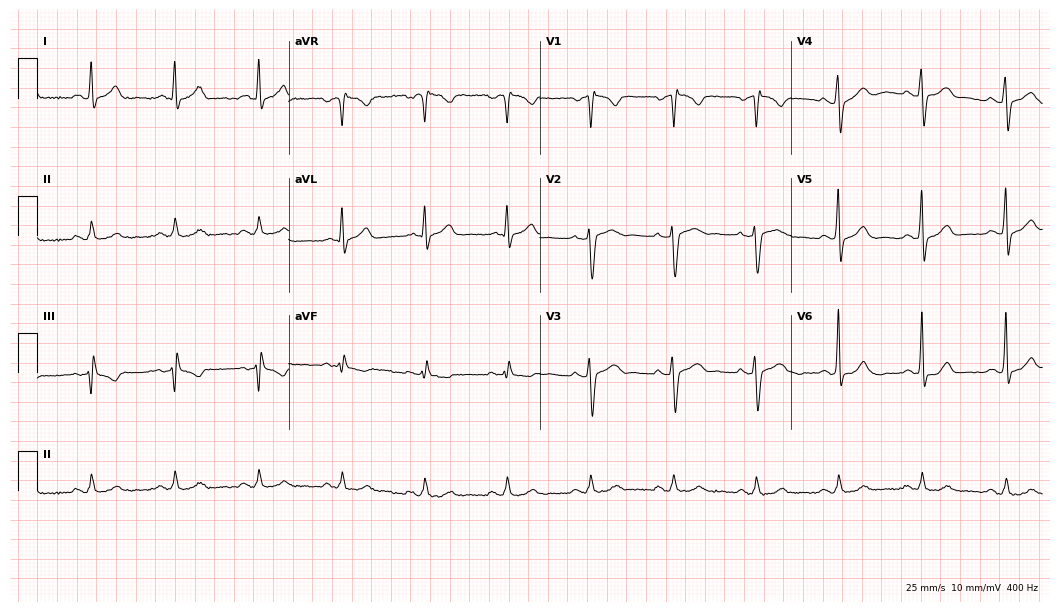
Standard 12-lead ECG recorded from a male, 55 years old. Read as a normal ECG.